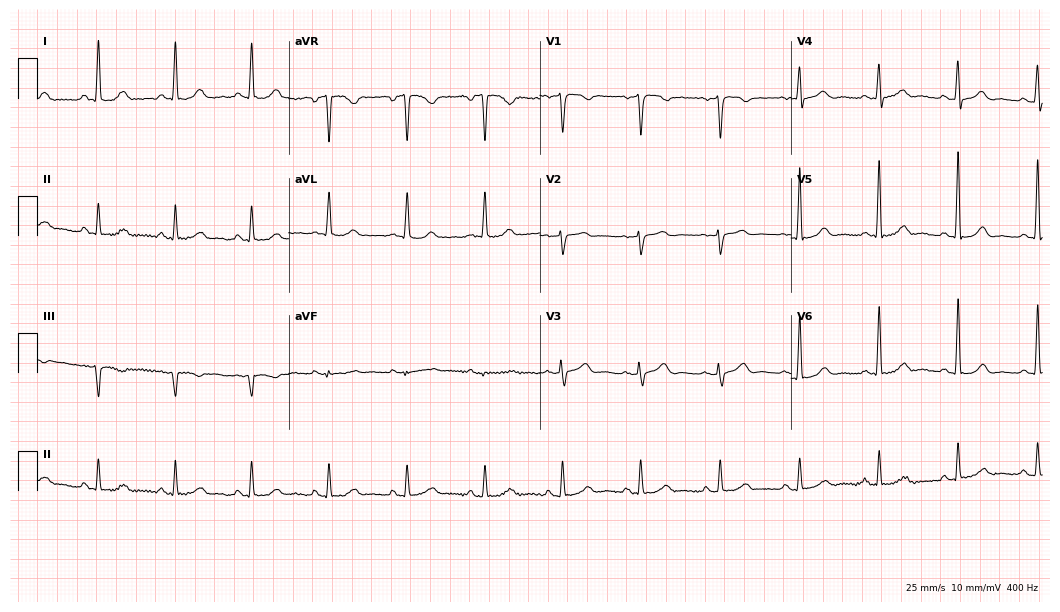
Resting 12-lead electrocardiogram. Patient: a 71-year-old female. Read as a normal ECG.